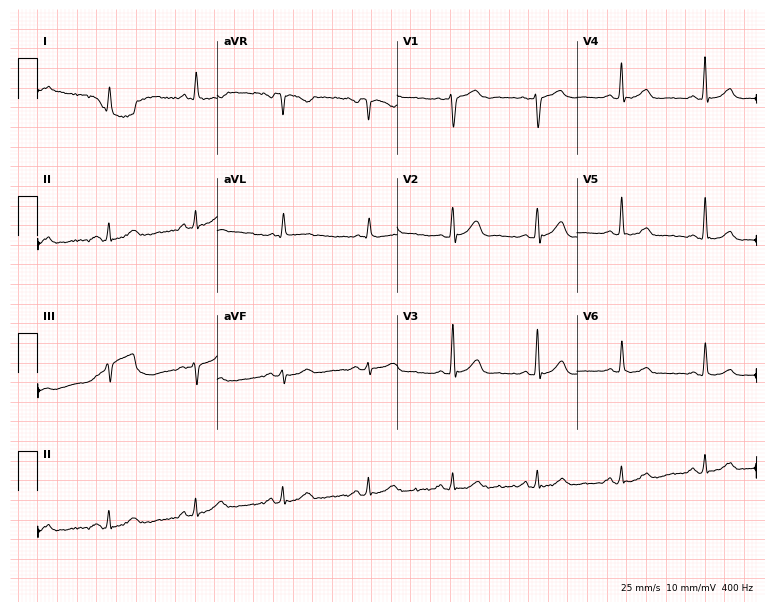
ECG — a male patient, 73 years old. Screened for six findings — first-degree AV block, right bundle branch block, left bundle branch block, sinus bradycardia, atrial fibrillation, sinus tachycardia — none is recorded. Other findings, if any, are not listed.